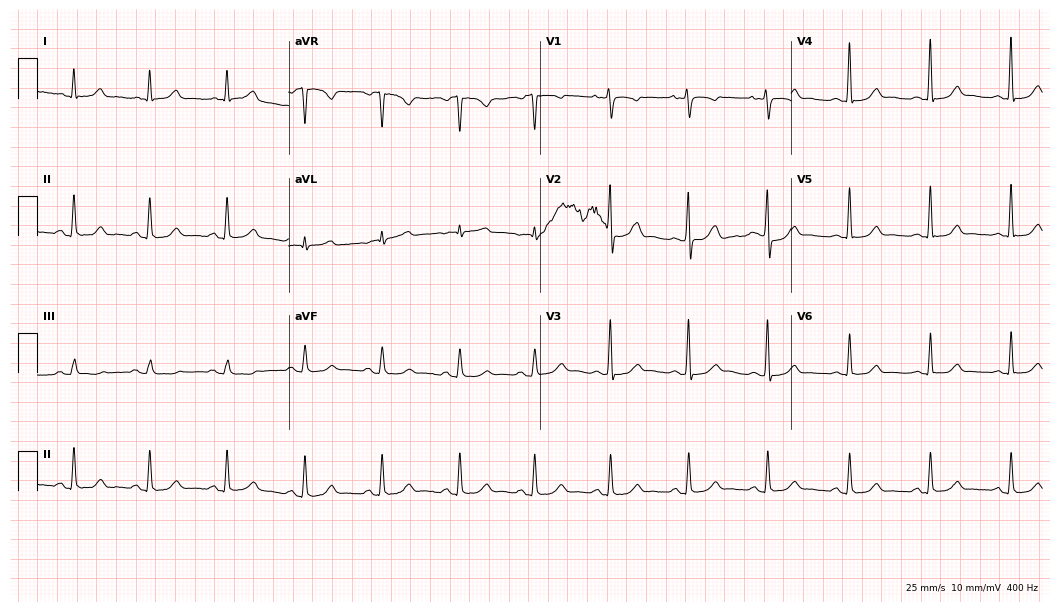
Standard 12-lead ECG recorded from a 52-year-old female patient. Read as a normal ECG.